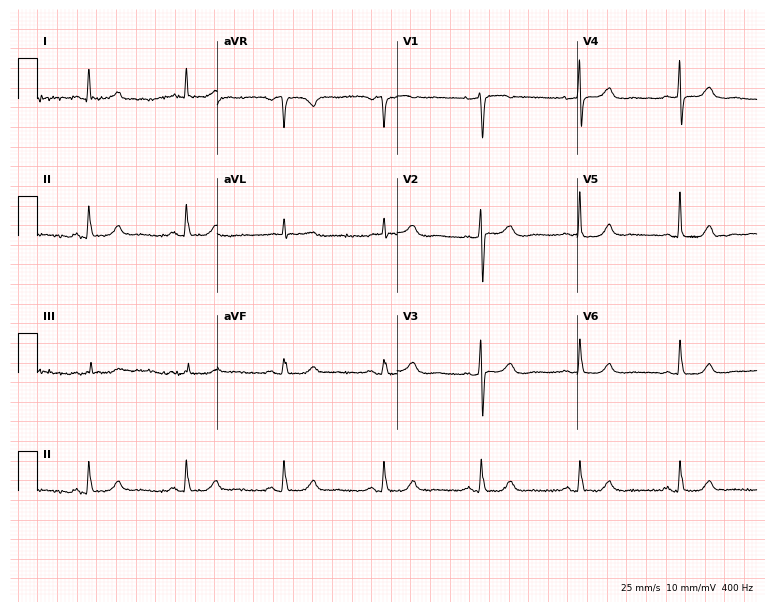
12-lead ECG from a female, 68 years old. No first-degree AV block, right bundle branch block, left bundle branch block, sinus bradycardia, atrial fibrillation or sinus tachycardia recorded for this tracing.